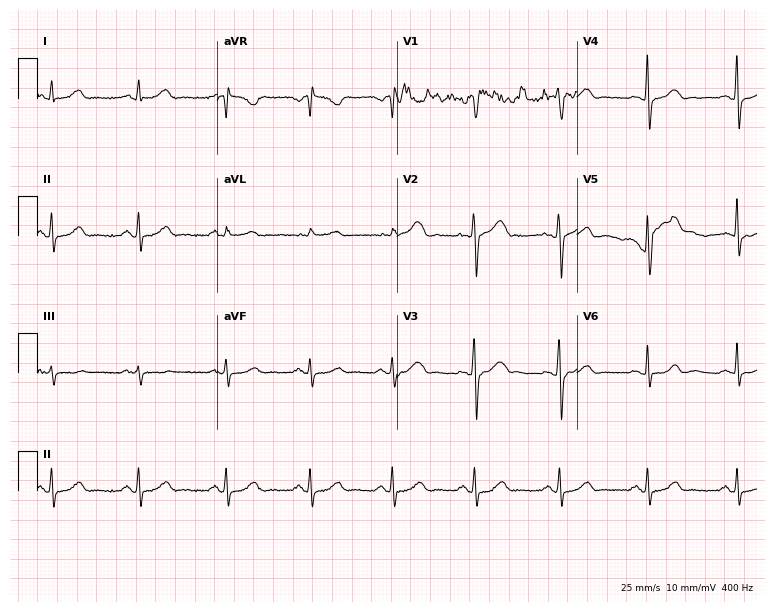
Standard 12-lead ECG recorded from a female patient, 34 years old (7.3-second recording at 400 Hz). Read as a normal ECG.